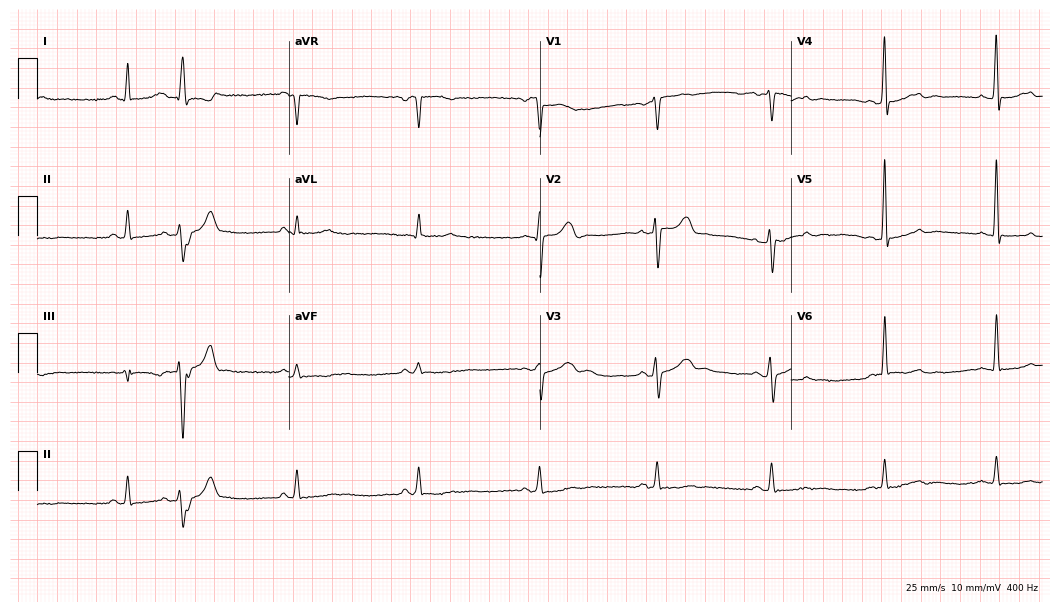
12-lead ECG (10.2-second recording at 400 Hz) from a man, 56 years old. Screened for six findings — first-degree AV block, right bundle branch block, left bundle branch block, sinus bradycardia, atrial fibrillation, sinus tachycardia — none is recorded. Other findings, if any, are not listed.